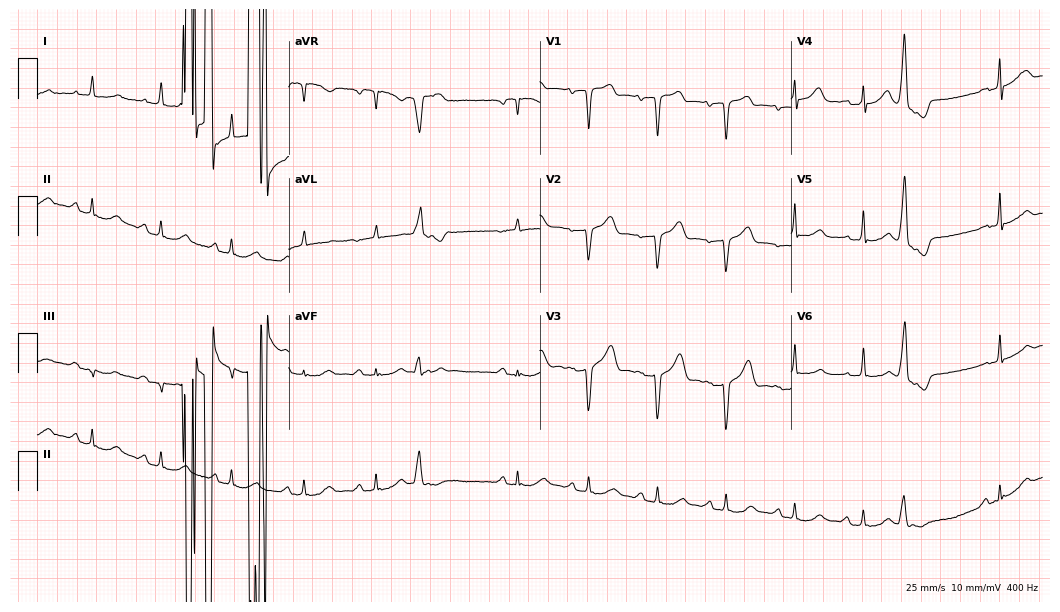
12-lead ECG from a male, 66 years old. No first-degree AV block, right bundle branch block, left bundle branch block, sinus bradycardia, atrial fibrillation or sinus tachycardia recorded for this tracing. Findings outside these six are not listed.